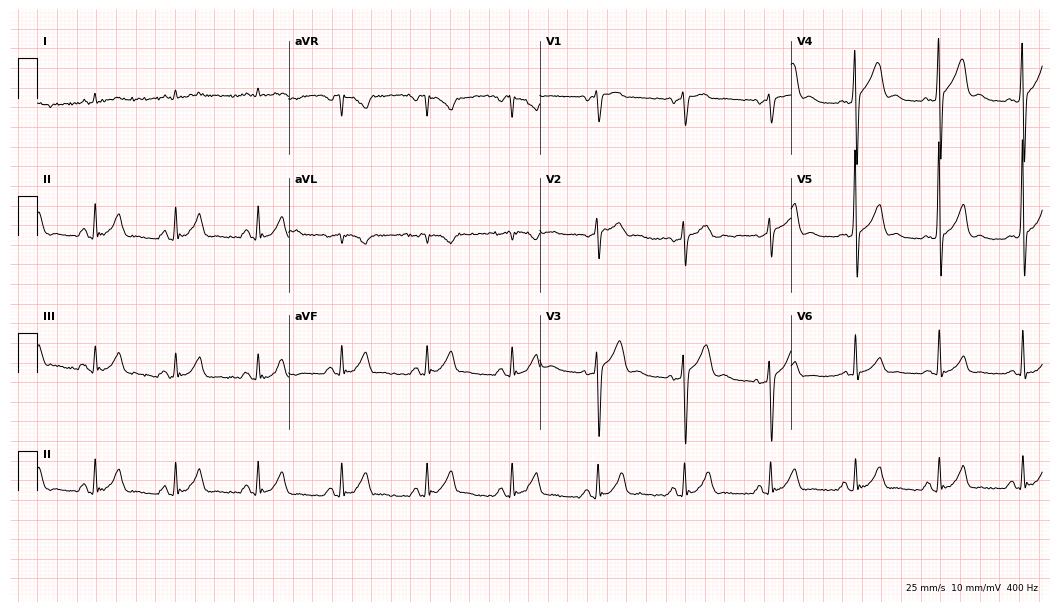
Standard 12-lead ECG recorded from a man, 52 years old (10.2-second recording at 400 Hz). Read as a normal ECG.